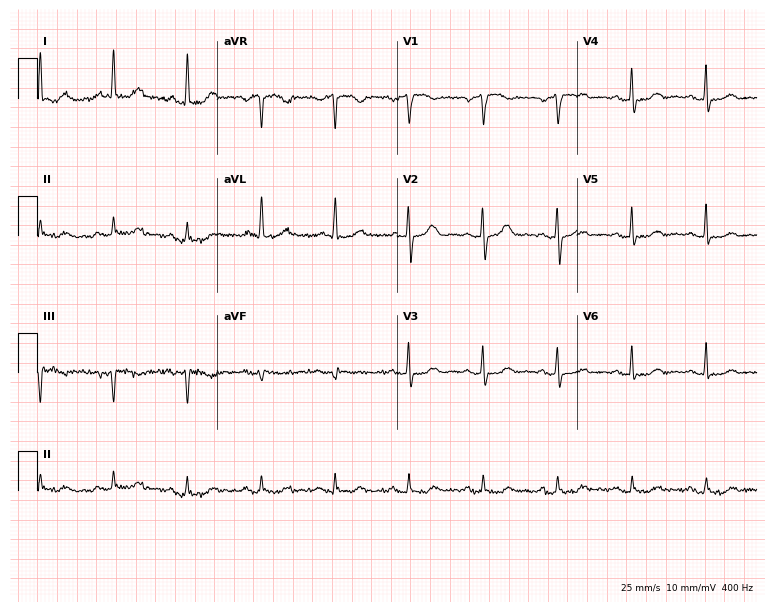
Standard 12-lead ECG recorded from a female, 84 years old. Read as a normal ECG.